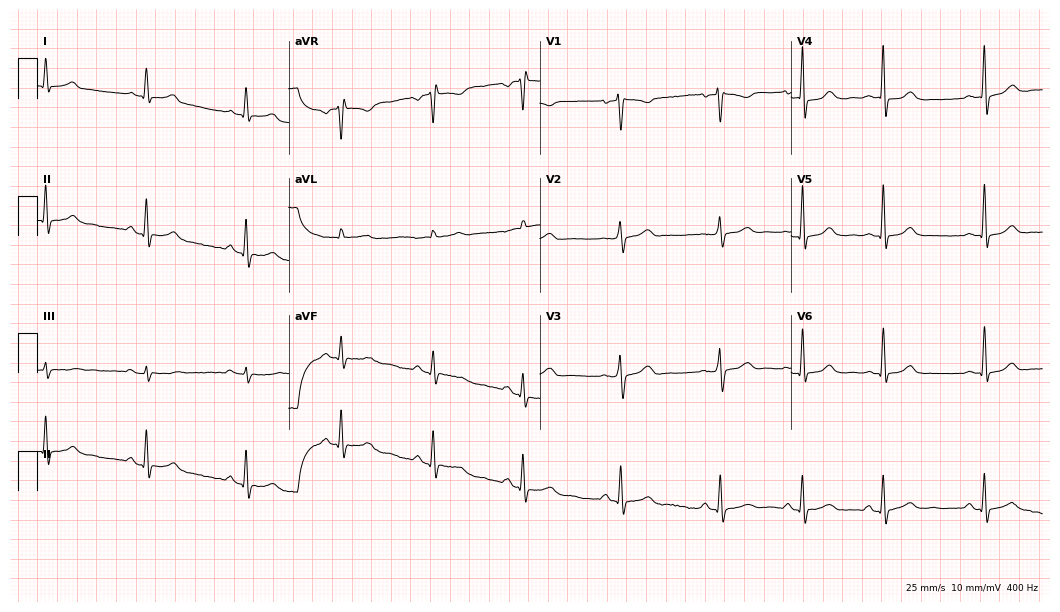
ECG (10.2-second recording at 400 Hz) — a female patient, 36 years old. Labelled as a normal ECG.